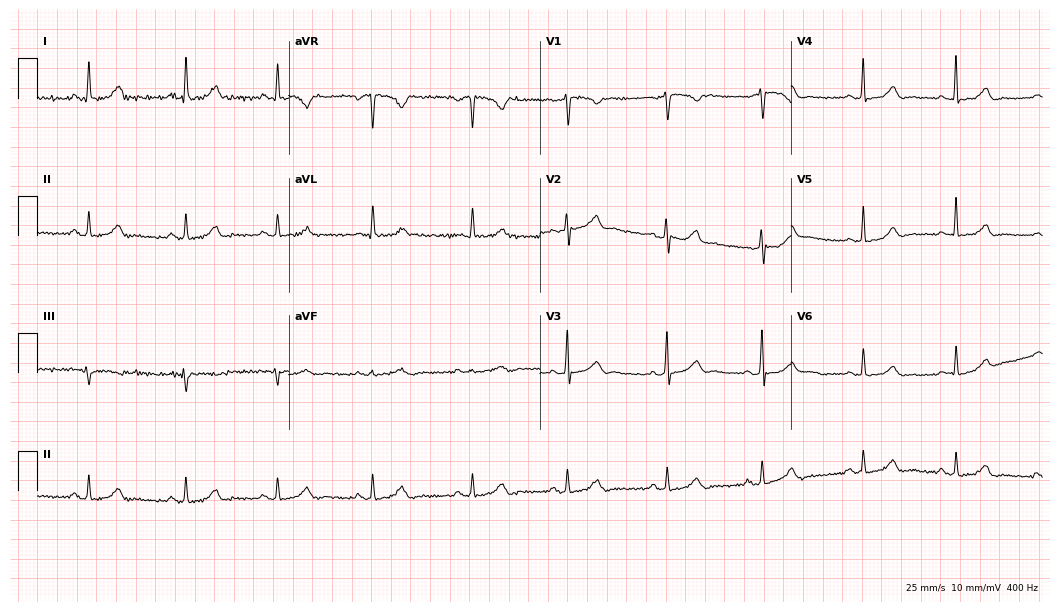
Electrocardiogram (10.2-second recording at 400 Hz), a woman, 43 years old. Overall reading on record: normal ECG.